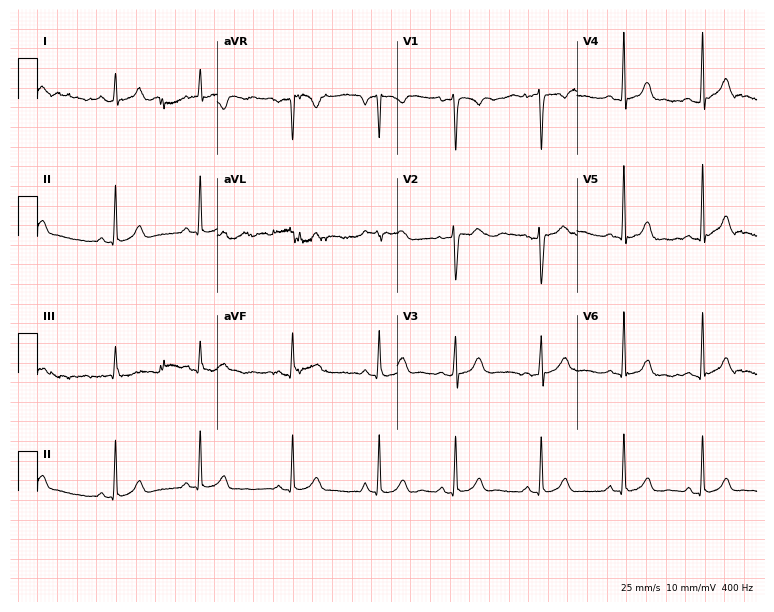
Resting 12-lead electrocardiogram (7.3-second recording at 400 Hz). Patient: a 21-year-old female. None of these six findings is recorded: first-degree AV block, right bundle branch block, left bundle branch block, sinus bradycardia, atrial fibrillation, sinus tachycardia.